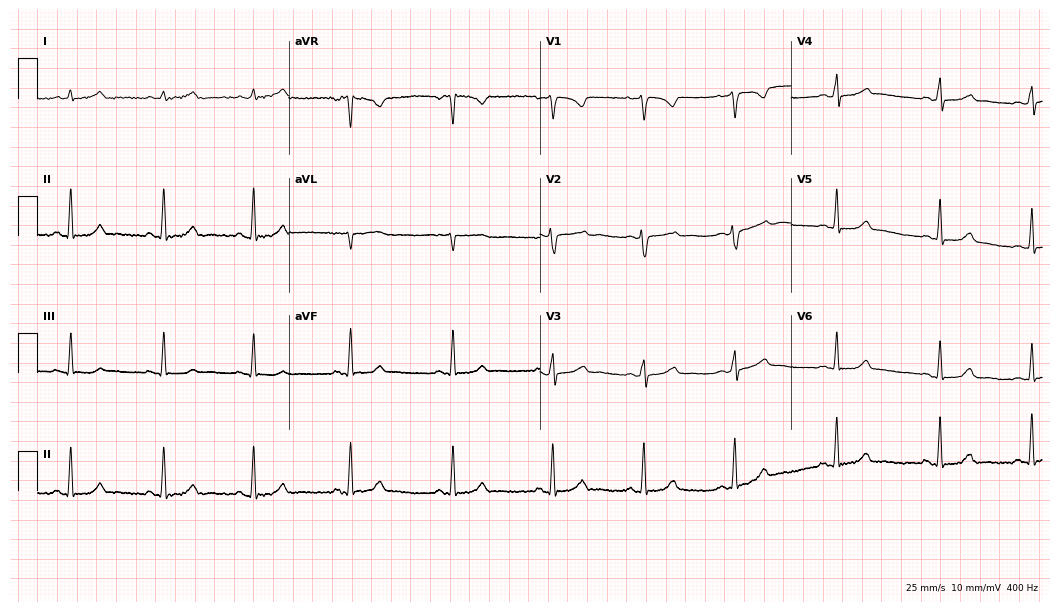
Standard 12-lead ECG recorded from a 17-year-old woman (10.2-second recording at 400 Hz). Read as a normal ECG.